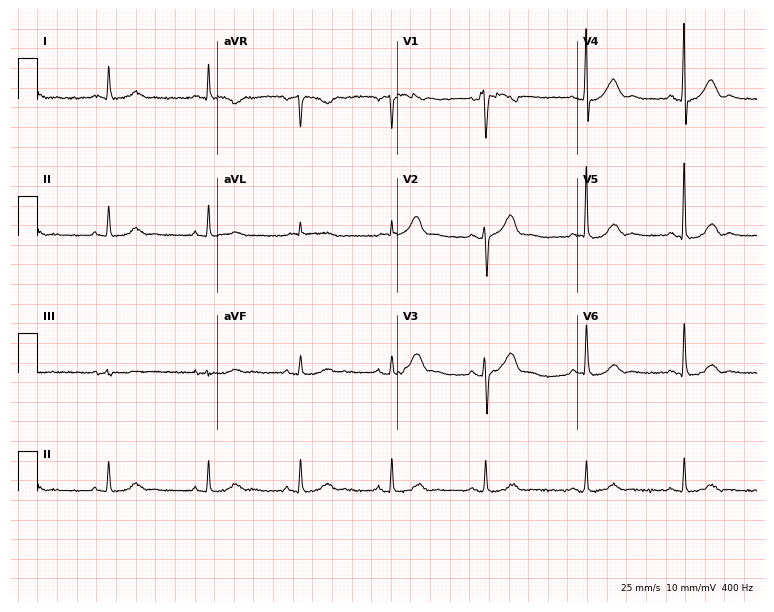
12-lead ECG from a 60-year-old man. No first-degree AV block, right bundle branch block, left bundle branch block, sinus bradycardia, atrial fibrillation or sinus tachycardia recorded for this tracing.